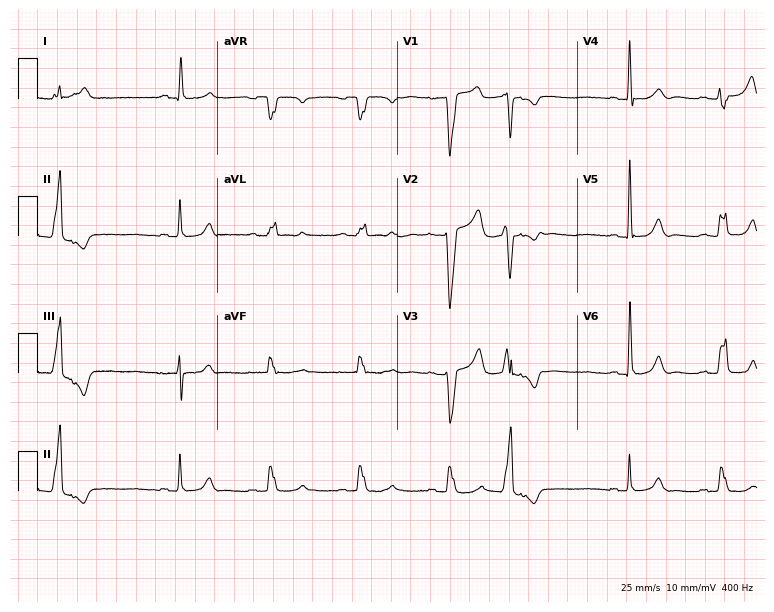
Electrocardiogram, a 76-year-old female. Of the six screened findings (first-degree AV block, right bundle branch block, left bundle branch block, sinus bradycardia, atrial fibrillation, sinus tachycardia), none is recorded.